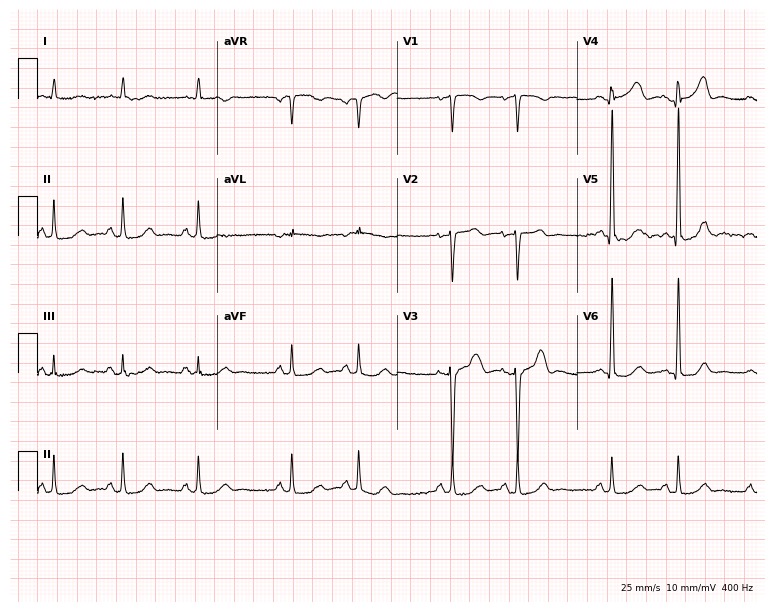
Electrocardiogram, a female patient, 79 years old. Of the six screened findings (first-degree AV block, right bundle branch block (RBBB), left bundle branch block (LBBB), sinus bradycardia, atrial fibrillation (AF), sinus tachycardia), none is recorded.